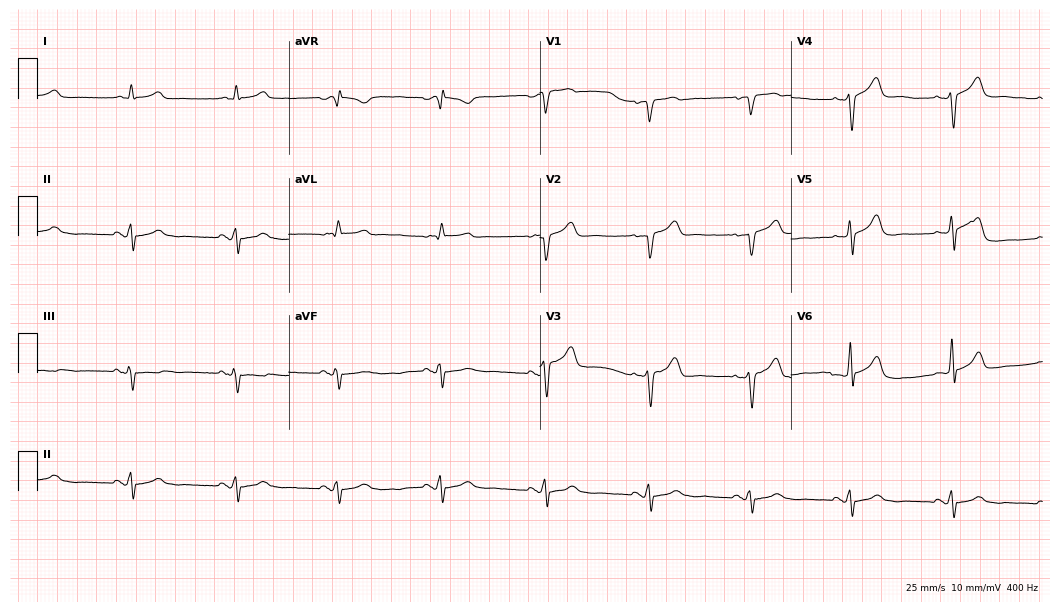
12-lead ECG from a male, 60 years old. No first-degree AV block, right bundle branch block, left bundle branch block, sinus bradycardia, atrial fibrillation or sinus tachycardia recorded for this tracing. Findings outside these six are not listed.